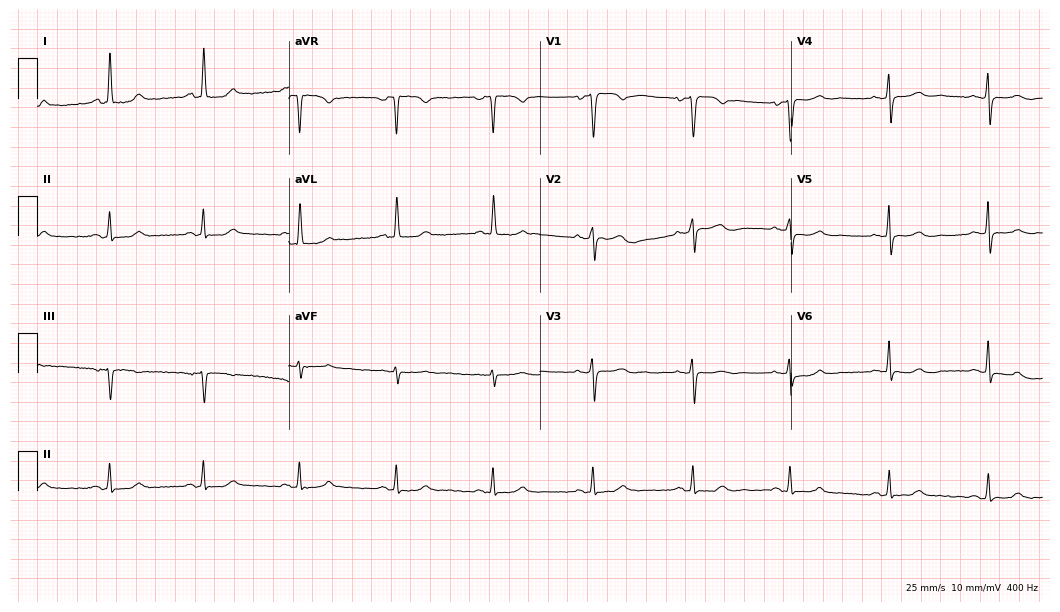
Resting 12-lead electrocardiogram. Patient: a 77-year-old woman. Read as a normal ECG.